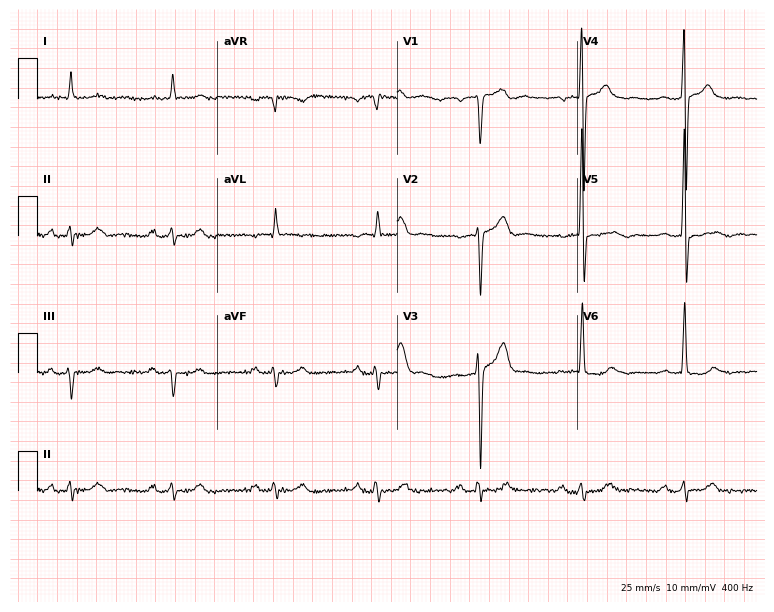
Standard 12-lead ECG recorded from a 61-year-old man. The tracing shows first-degree AV block.